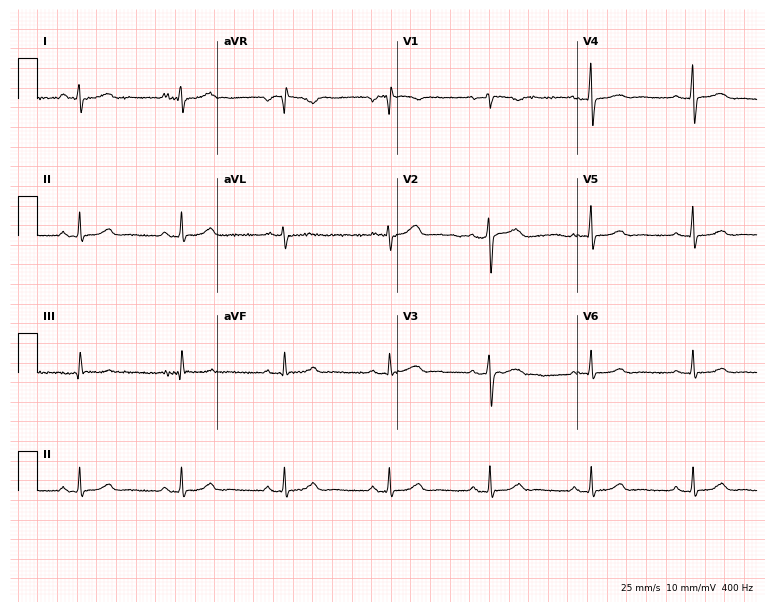
Electrocardiogram (7.3-second recording at 400 Hz), a female, 54 years old. Of the six screened findings (first-degree AV block, right bundle branch block, left bundle branch block, sinus bradycardia, atrial fibrillation, sinus tachycardia), none is recorded.